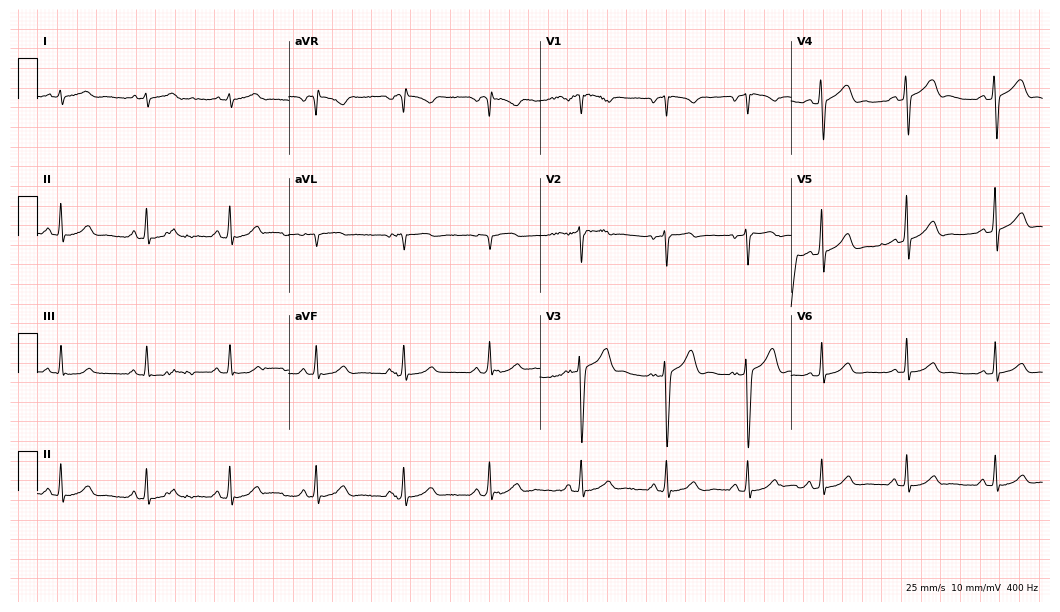
Resting 12-lead electrocardiogram. Patient: a 27-year-old male. None of these six findings is recorded: first-degree AV block, right bundle branch block (RBBB), left bundle branch block (LBBB), sinus bradycardia, atrial fibrillation (AF), sinus tachycardia. Only these six findings were labelled.